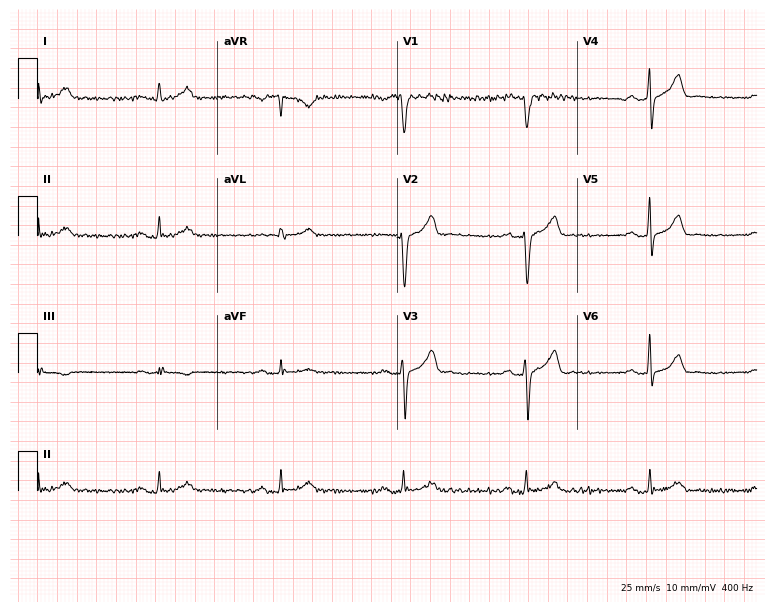
Resting 12-lead electrocardiogram (7.3-second recording at 400 Hz). Patient: a 39-year-old male. The tracing shows sinus bradycardia (a sinus rate of 50 beats per minute or less).